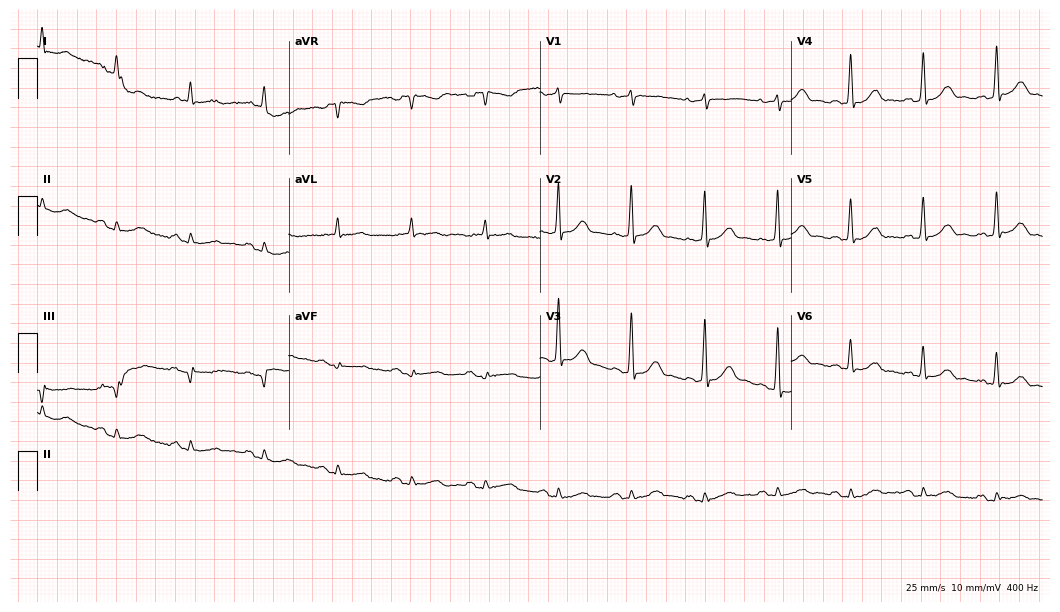
12-lead ECG (10.2-second recording at 400 Hz) from a 77-year-old male. Labelled as a normal ECG.